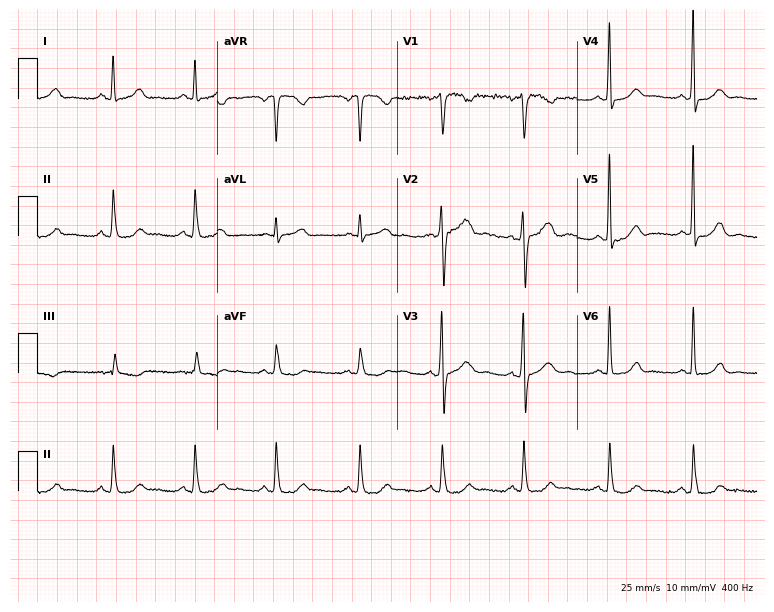
Standard 12-lead ECG recorded from a female patient, 41 years old. None of these six findings is recorded: first-degree AV block, right bundle branch block, left bundle branch block, sinus bradycardia, atrial fibrillation, sinus tachycardia.